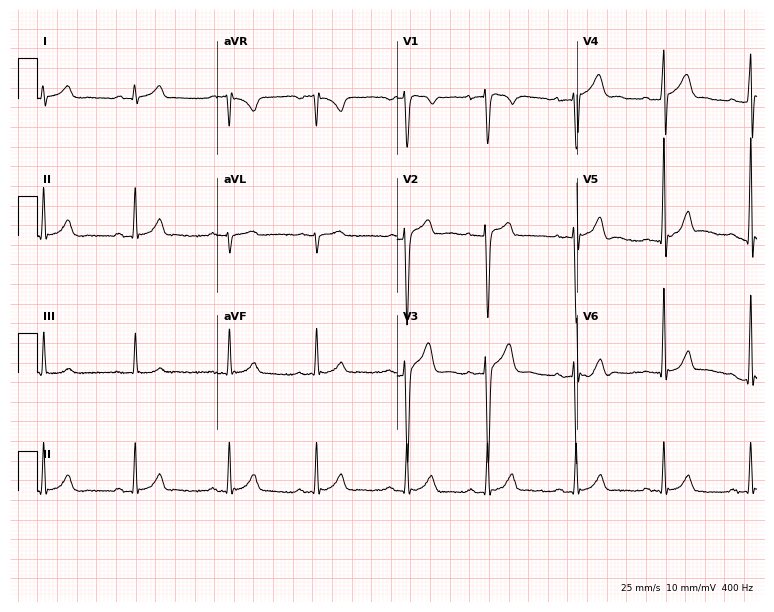
Standard 12-lead ECG recorded from a male, 20 years old. Read as a normal ECG.